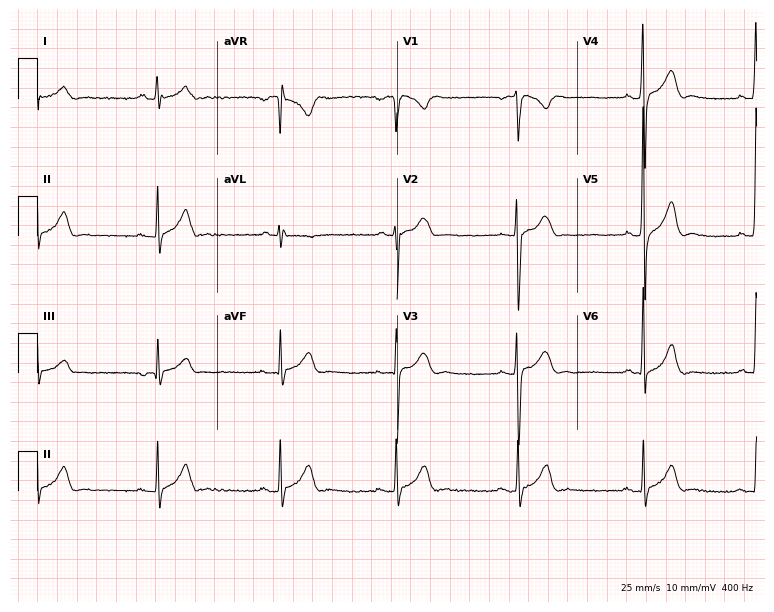
ECG — a 22-year-old male. Findings include sinus bradycardia (a sinus rate of 50 beats per minute or less).